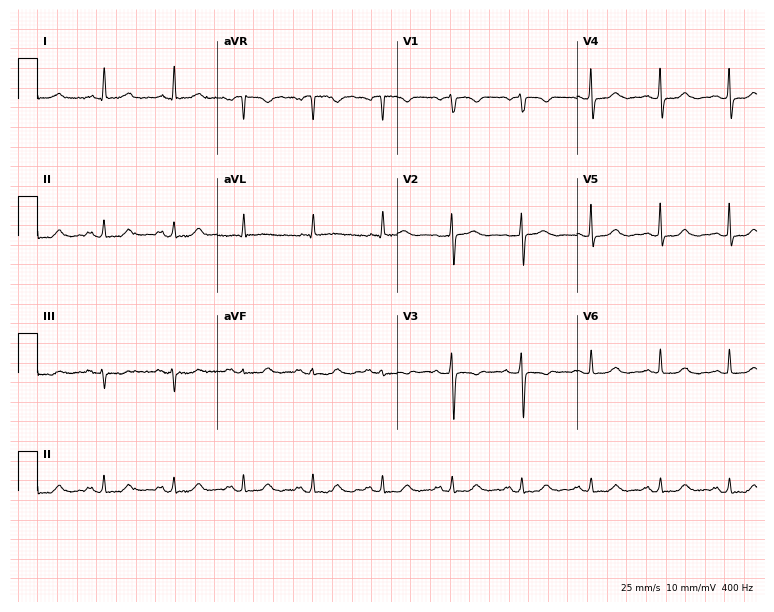
12-lead ECG (7.3-second recording at 400 Hz) from a 67-year-old female patient. Labelled as a normal ECG.